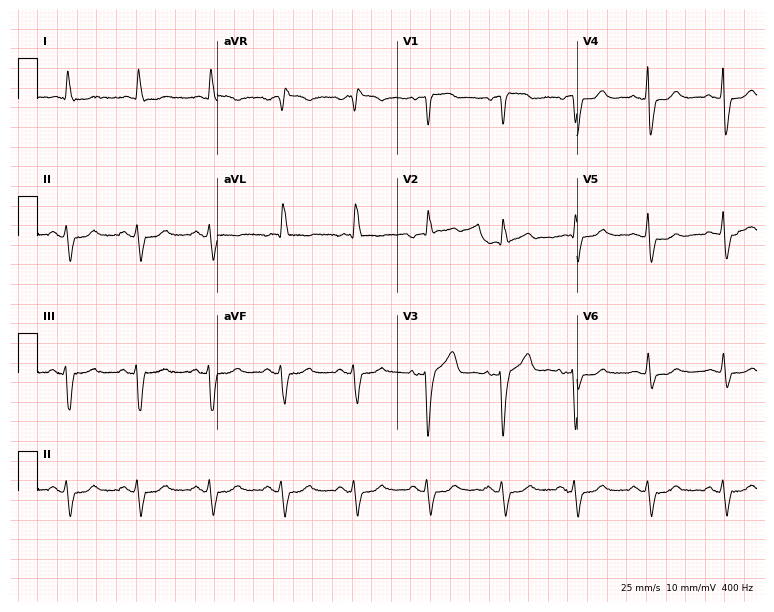
12-lead ECG (7.3-second recording at 400 Hz) from a female patient, 82 years old. Screened for six findings — first-degree AV block, right bundle branch block, left bundle branch block, sinus bradycardia, atrial fibrillation, sinus tachycardia — none is recorded.